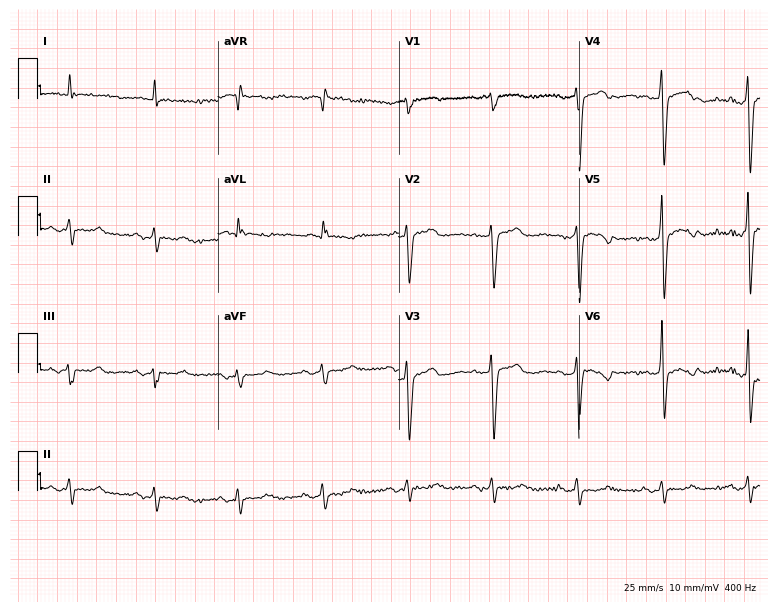
Standard 12-lead ECG recorded from a 67-year-old female (7.4-second recording at 400 Hz). None of these six findings is recorded: first-degree AV block, right bundle branch block (RBBB), left bundle branch block (LBBB), sinus bradycardia, atrial fibrillation (AF), sinus tachycardia. Other findings, if any, are not listed.